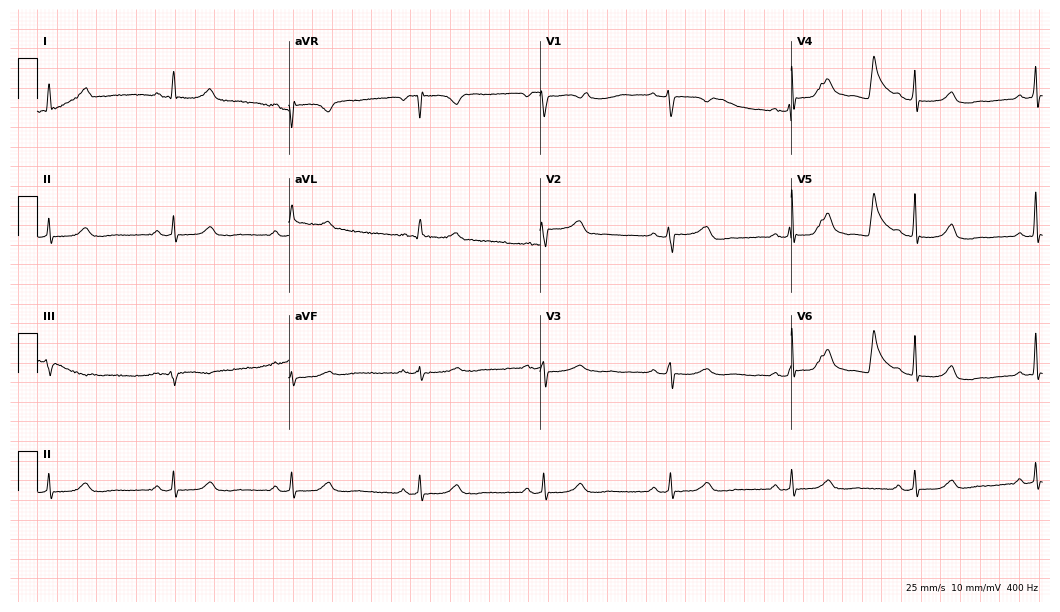
Standard 12-lead ECG recorded from a woman, 70 years old (10.2-second recording at 400 Hz). None of these six findings is recorded: first-degree AV block, right bundle branch block, left bundle branch block, sinus bradycardia, atrial fibrillation, sinus tachycardia.